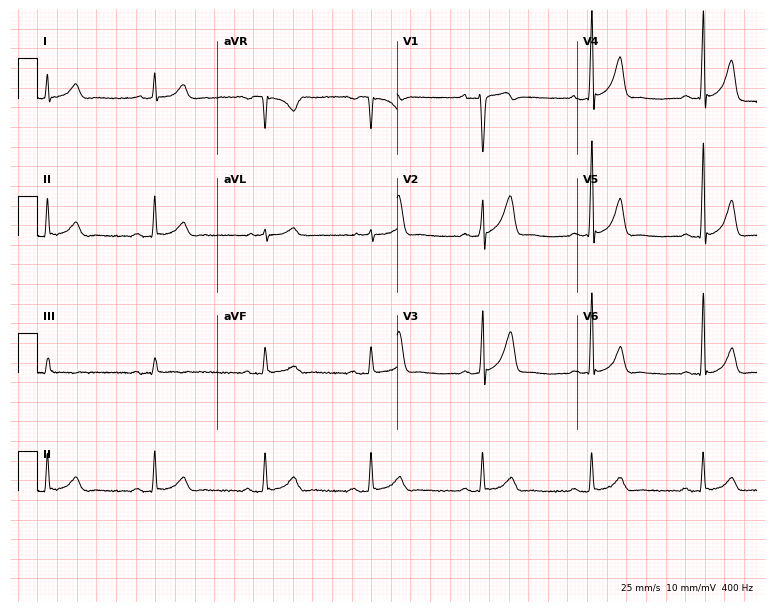
12-lead ECG from a man, 40 years old. No first-degree AV block, right bundle branch block, left bundle branch block, sinus bradycardia, atrial fibrillation or sinus tachycardia recorded for this tracing. Only these six findings were labelled.